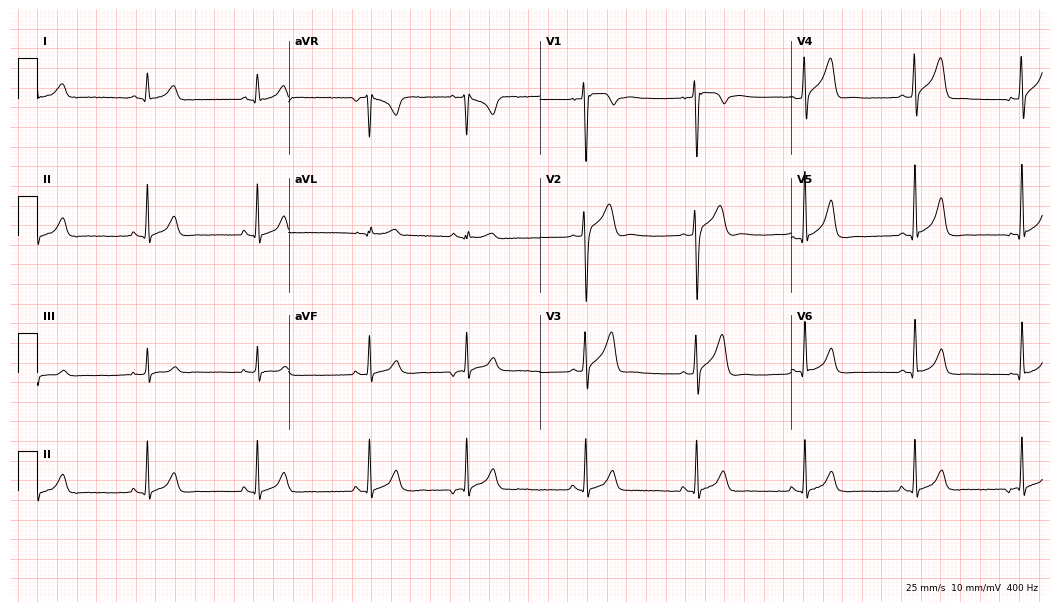
Standard 12-lead ECG recorded from a man, 45 years old (10.2-second recording at 400 Hz). None of these six findings is recorded: first-degree AV block, right bundle branch block, left bundle branch block, sinus bradycardia, atrial fibrillation, sinus tachycardia.